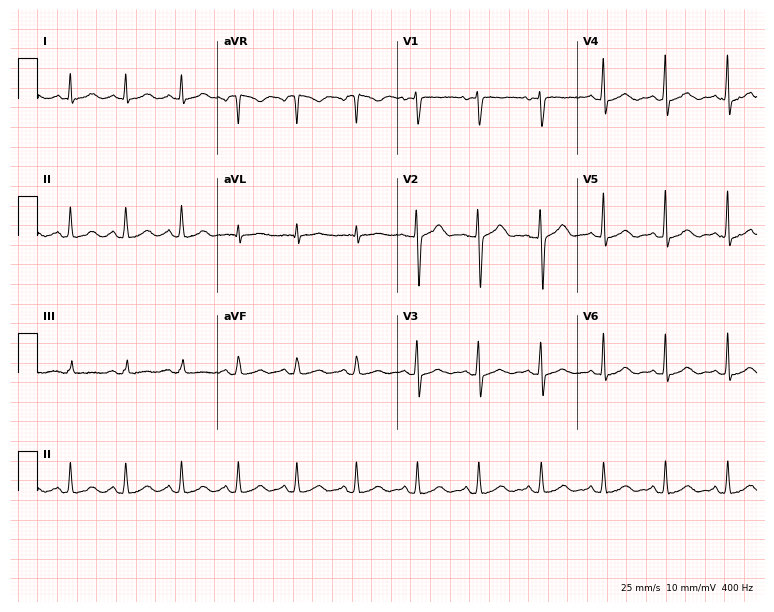
Standard 12-lead ECG recorded from a 44-year-old female (7.3-second recording at 400 Hz). None of these six findings is recorded: first-degree AV block, right bundle branch block, left bundle branch block, sinus bradycardia, atrial fibrillation, sinus tachycardia. Findings outside these six are not listed.